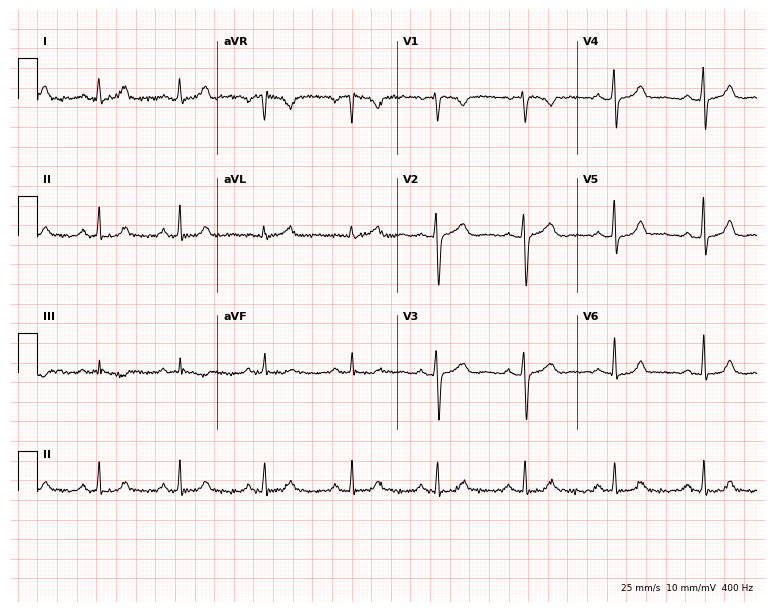
Resting 12-lead electrocardiogram. Patient: a female, 32 years old. Read as a normal ECG.